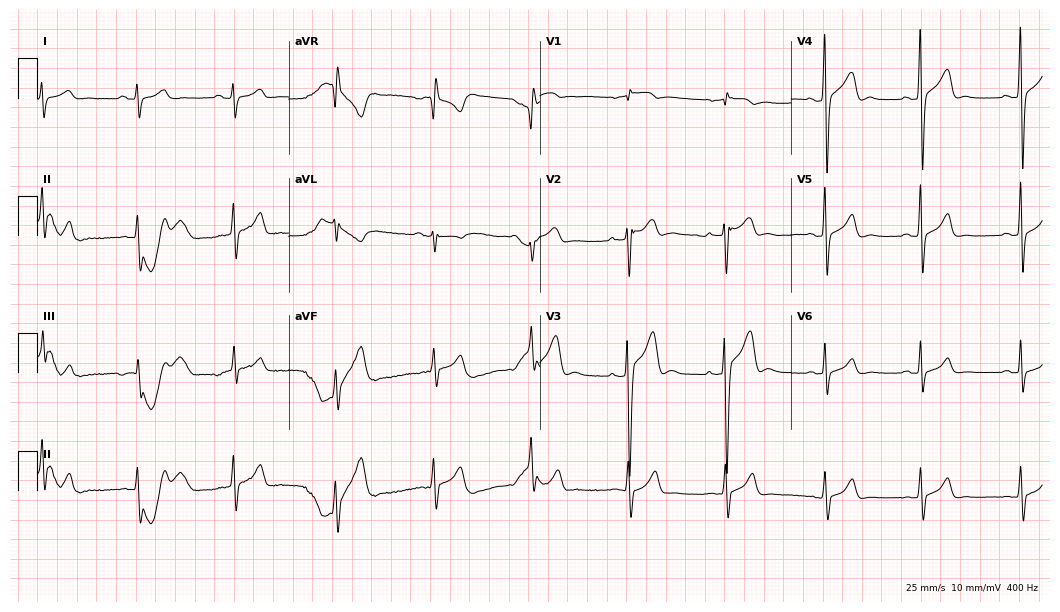
12-lead ECG from a man, 18 years old. No first-degree AV block, right bundle branch block (RBBB), left bundle branch block (LBBB), sinus bradycardia, atrial fibrillation (AF) or sinus tachycardia recorded for this tracing.